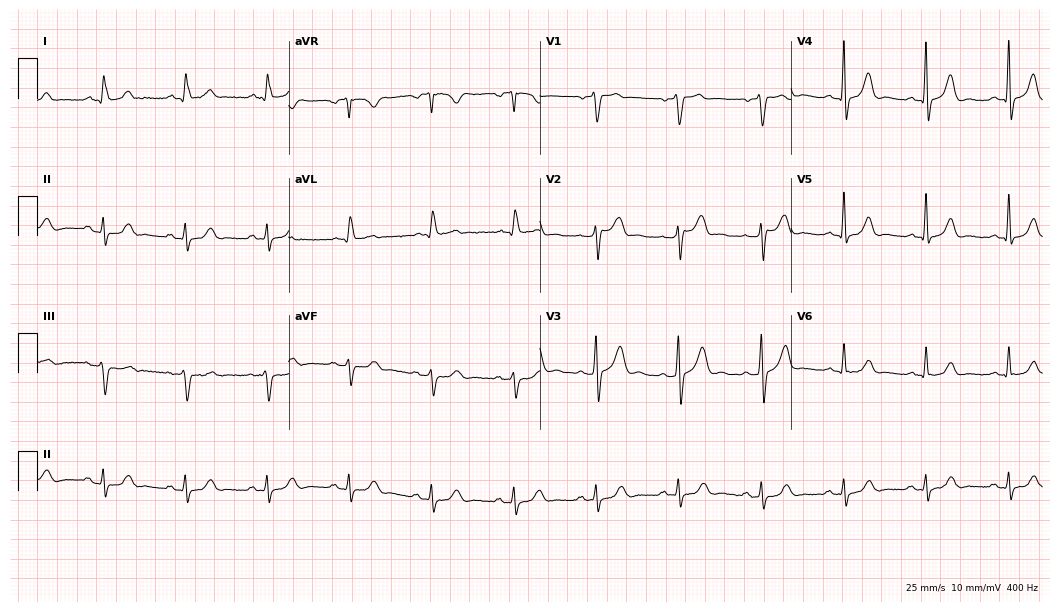
ECG — a man, 62 years old. Screened for six findings — first-degree AV block, right bundle branch block, left bundle branch block, sinus bradycardia, atrial fibrillation, sinus tachycardia — none is recorded.